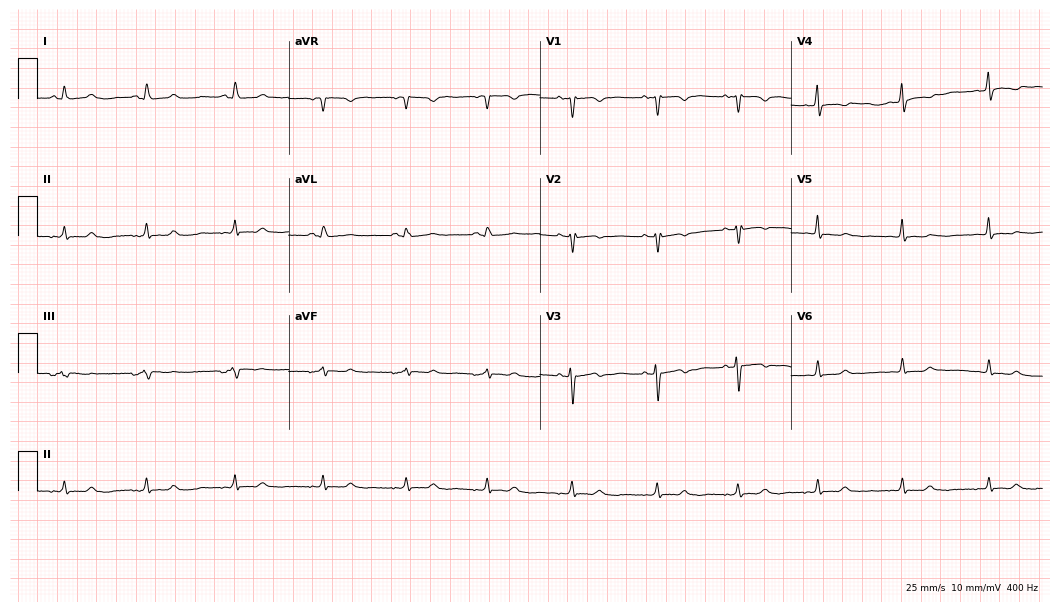
12-lead ECG from a 29-year-old female (10.2-second recording at 400 Hz). No first-degree AV block, right bundle branch block, left bundle branch block, sinus bradycardia, atrial fibrillation or sinus tachycardia recorded for this tracing.